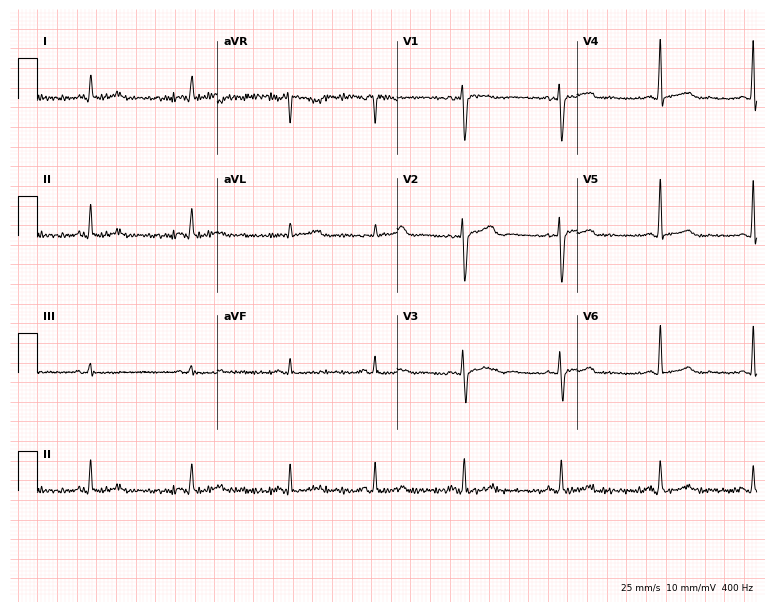
ECG — a 31-year-old female. Labelled as a normal ECG.